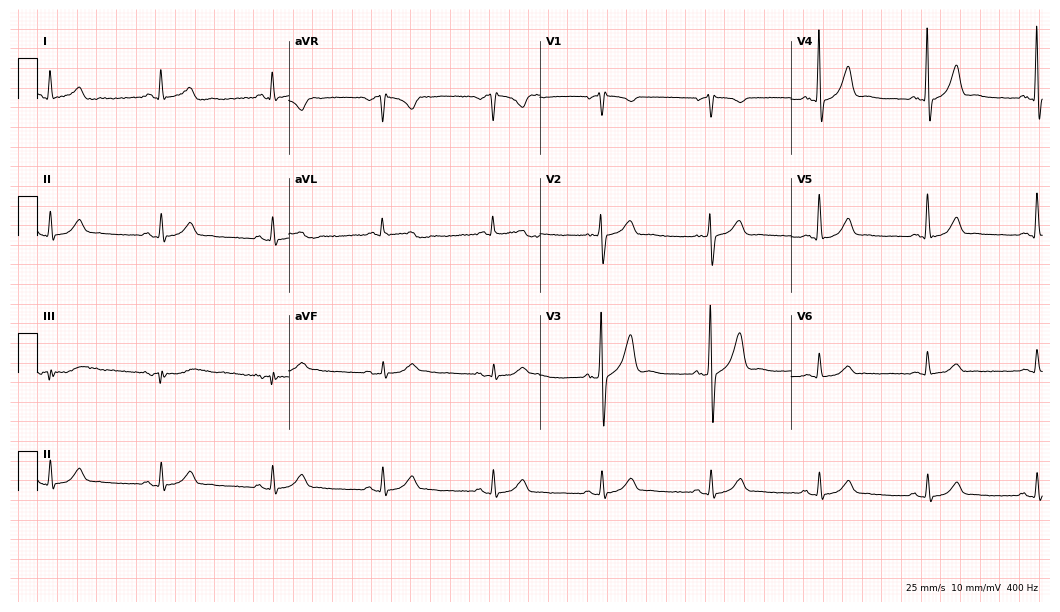
ECG — a 62-year-old male. Screened for six findings — first-degree AV block, right bundle branch block, left bundle branch block, sinus bradycardia, atrial fibrillation, sinus tachycardia — none is recorded.